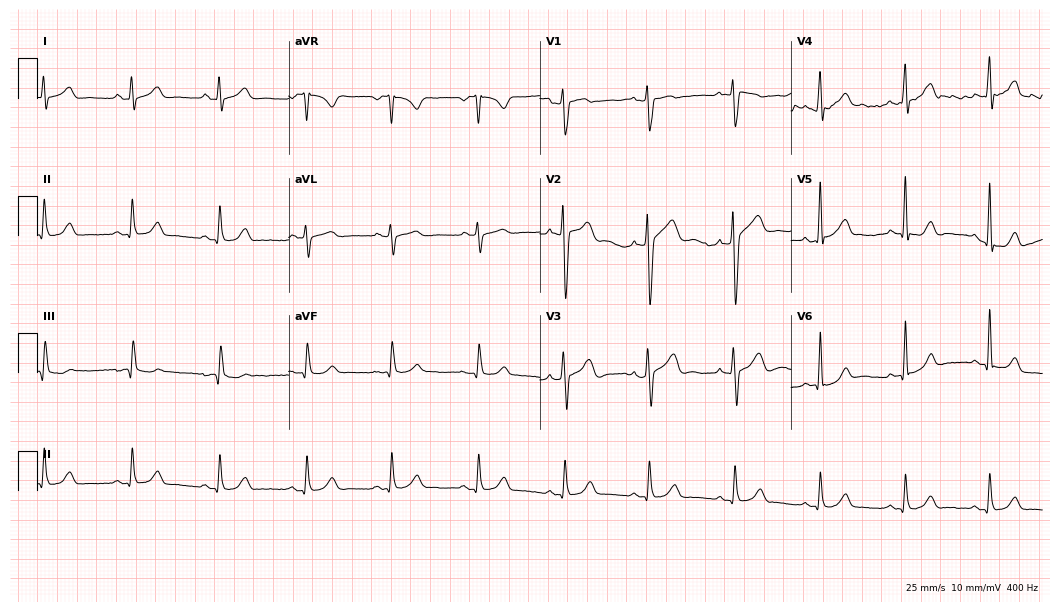
ECG (10.2-second recording at 400 Hz) — a man, 24 years old. Labelled as a normal ECG.